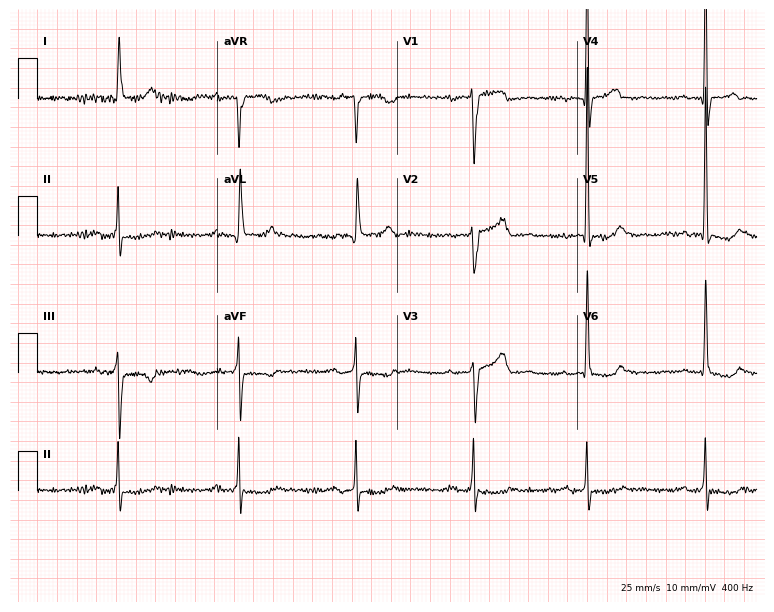
Resting 12-lead electrocardiogram. Patient: a woman, 82 years old. The tracing shows first-degree AV block.